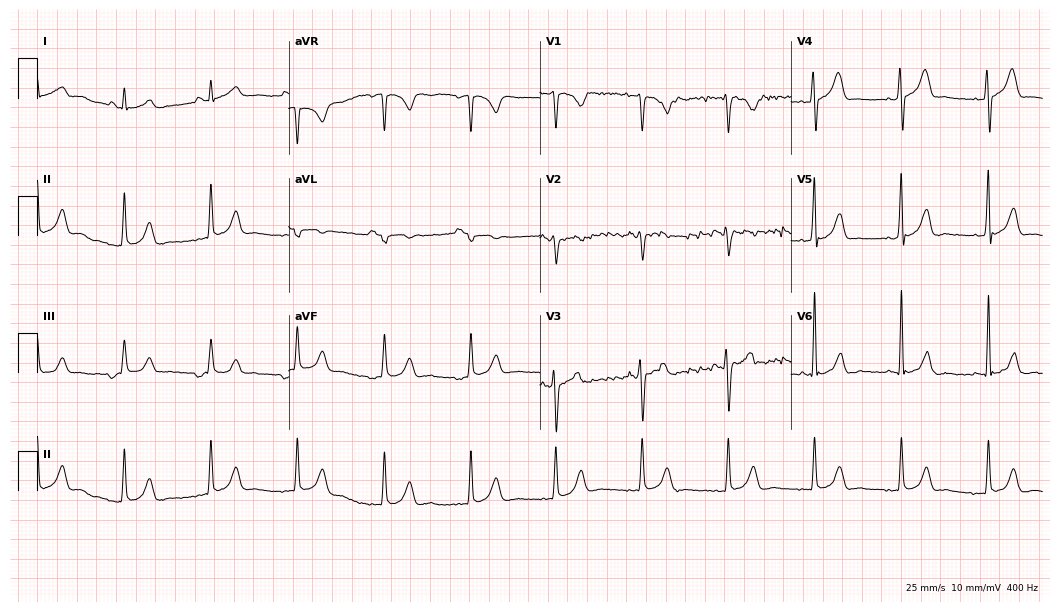
ECG — a male, 30 years old. Labelled as a normal ECG.